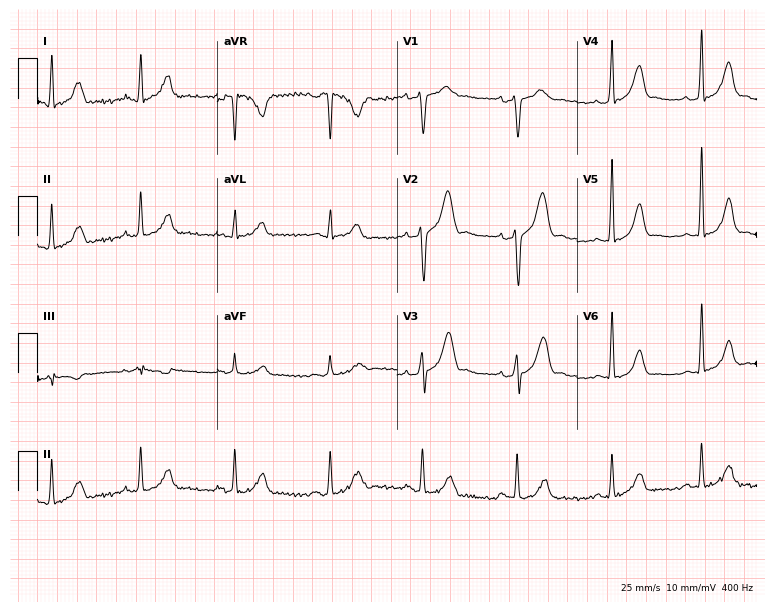
ECG — a male patient, 34 years old. Screened for six findings — first-degree AV block, right bundle branch block (RBBB), left bundle branch block (LBBB), sinus bradycardia, atrial fibrillation (AF), sinus tachycardia — none is recorded. Only these six findings were labelled.